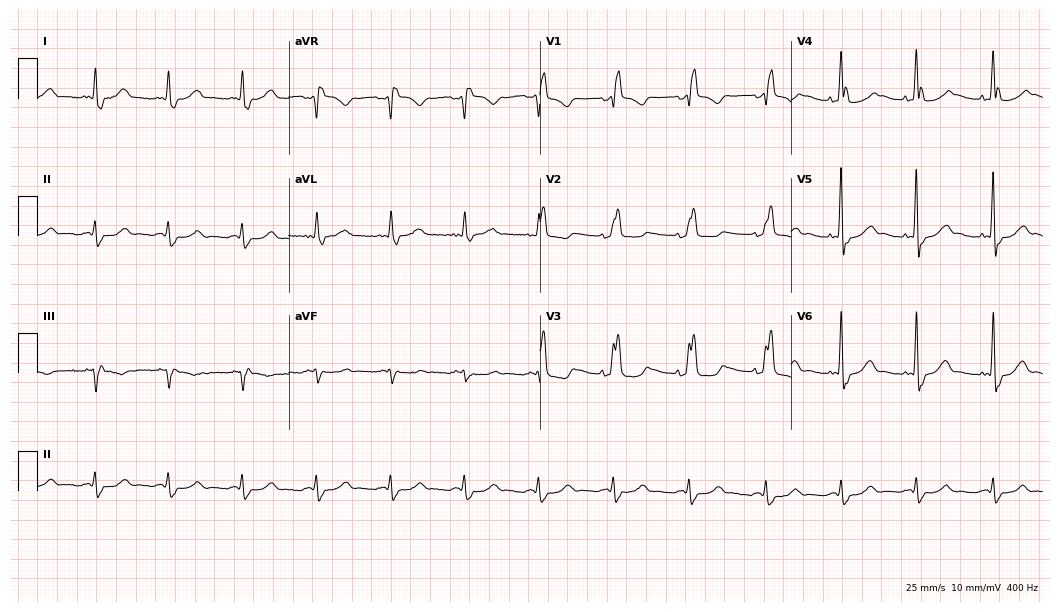
Resting 12-lead electrocardiogram (10.2-second recording at 400 Hz). Patient: an 83-year-old male. The tracing shows right bundle branch block.